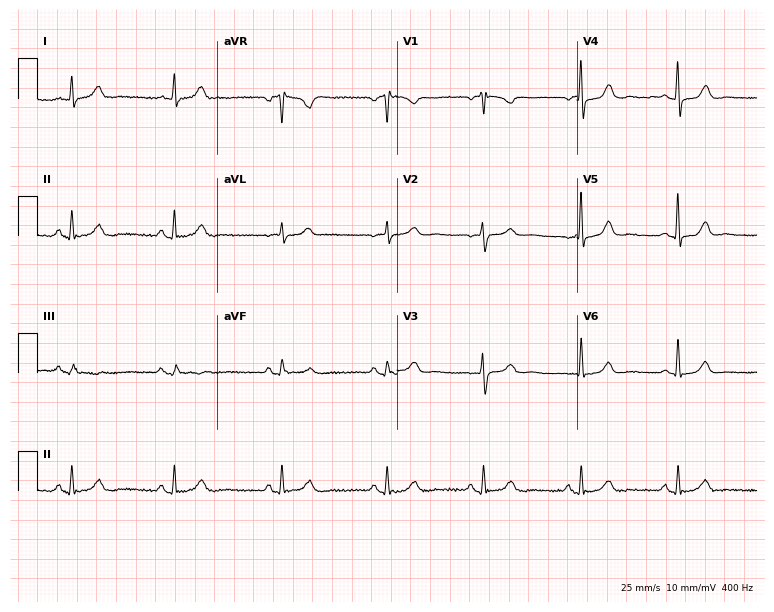
ECG (7.3-second recording at 400 Hz) — a woman, 54 years old. Labelled as a normal ECG.